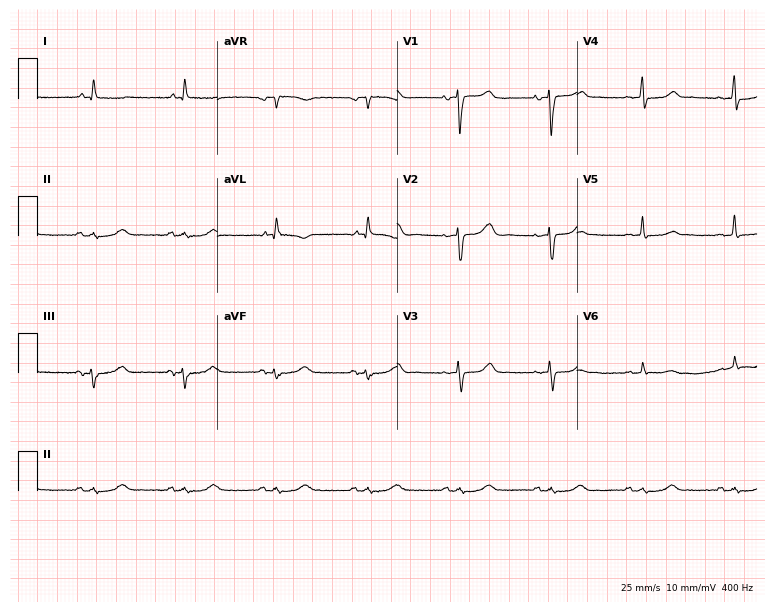
Standard 12-lead ECG recorded from a woman, 73 years old (7.3-second recording at 400 Hz). None of these six findings is recorded: first-degree AV block, right bundle branch block (RBBB), left bundle branch block (LBBB), sinus bradycardia, atrial fibrillation (AF), sinus tachycardia.